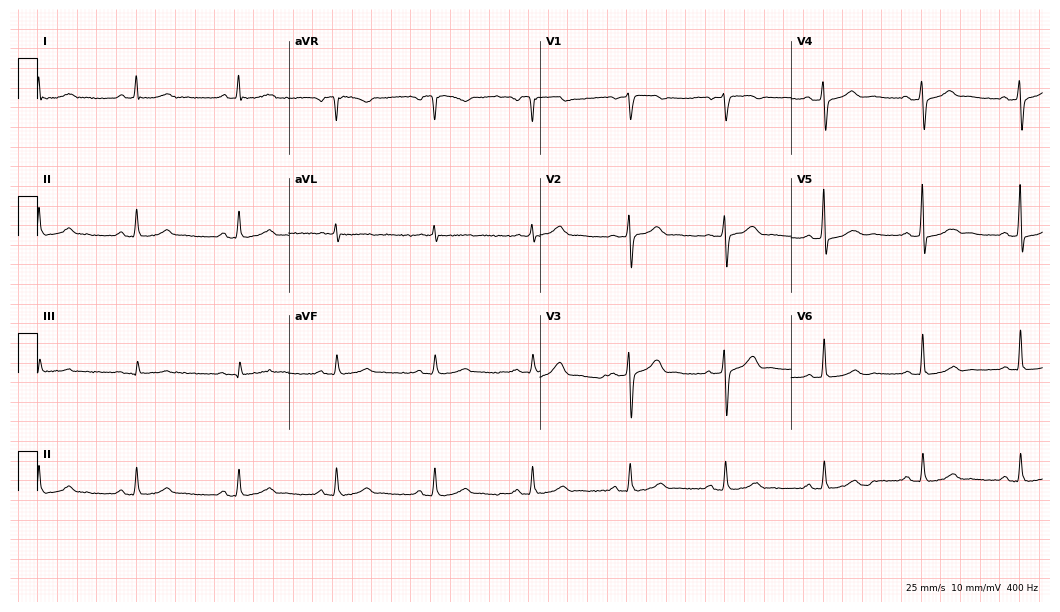
Resting 12-lead electrocardiogram (10.2-second recording at 400 Hz). Patient: a 62-year-old man. Read as a normal ECG.